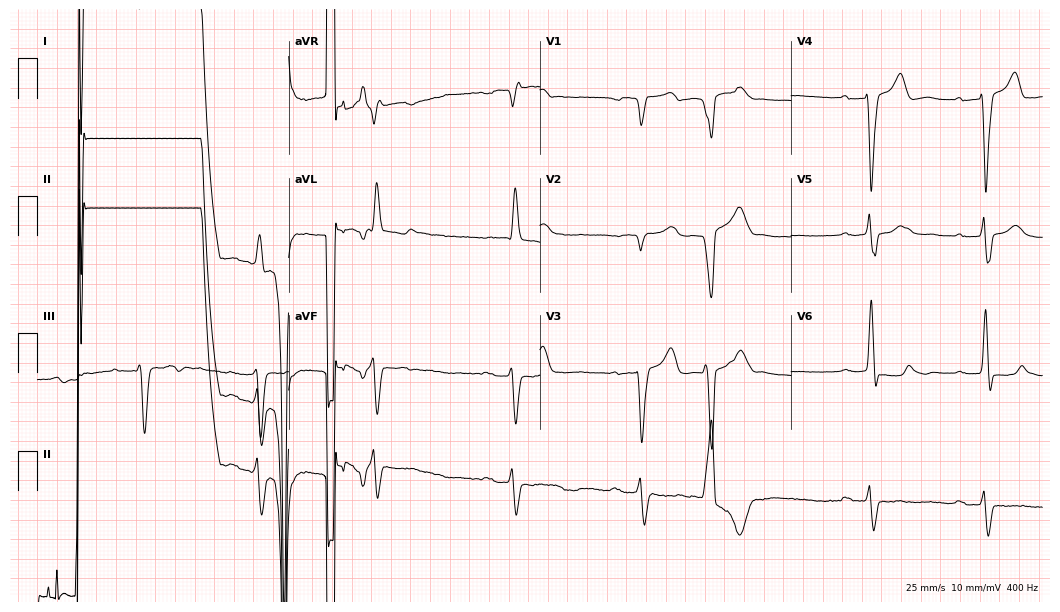
Standard 12-lead ECG recorded from a 74-year-old man. The tracing shows atrial fibrillation.